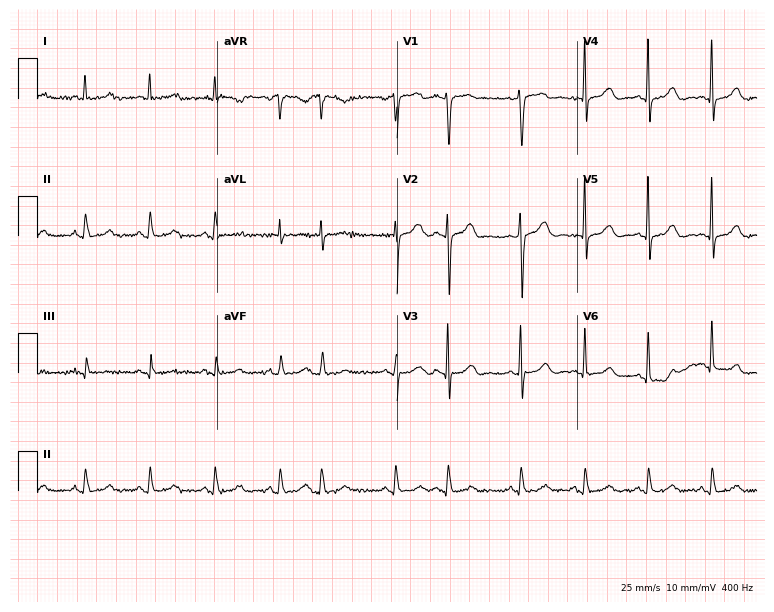
12-lead ECG from a female, 74 years old (7.3-second recording at 400 Hz). Recorded interpretation: within normal limits.